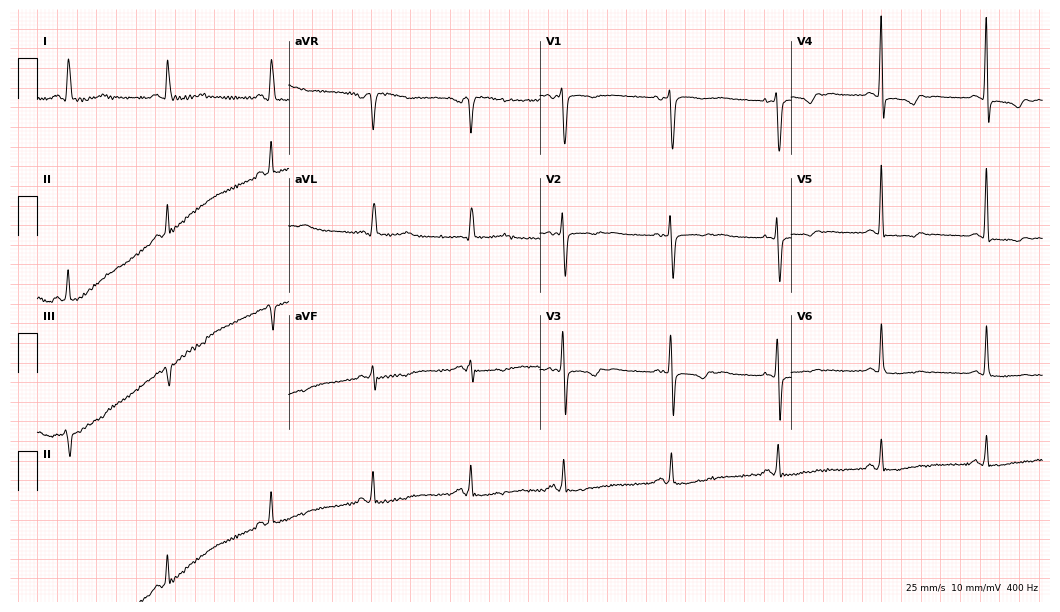
Resting 12-lead electrocardiogram. Patient: a woman, 52 years old. None of these six findings is recorded: first-degree AV block, right bundle branch block (RBBB), left bundle branch block (LBBB), sinus bradycardia, atrial fibrillation (AF), sinus tachycardia. Other findings, if any, are not listed.